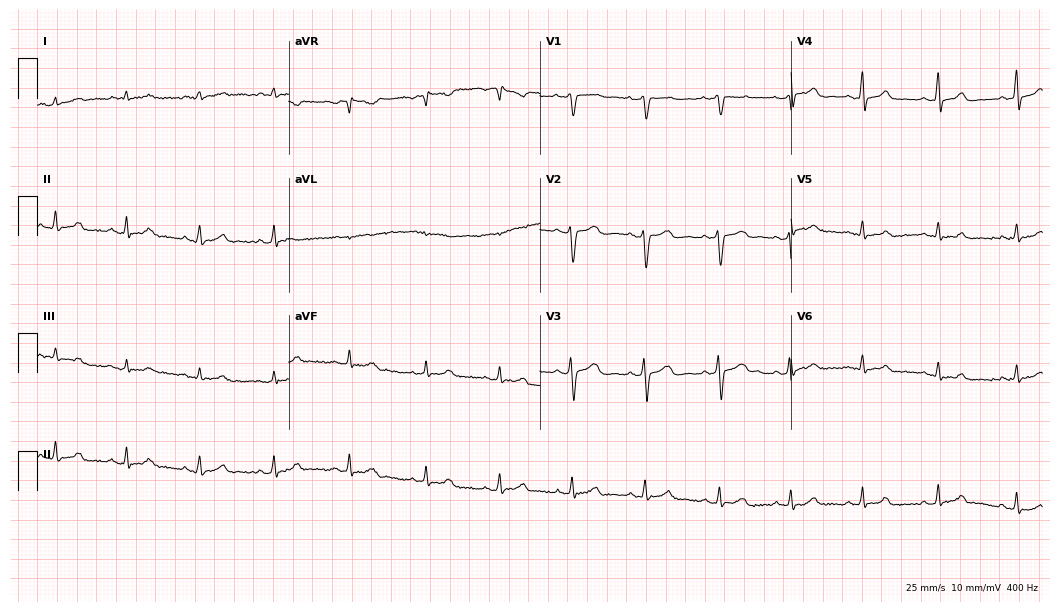
Electrocardiogram, a 22-year-old female patient. Of the six screened findings (first-degree AV block, right bundle branch block (RBBB), left bundle branch block (LBBB), sinus bradycardia, atrial fibrillation (AF), sinus tachycardia), none is recorded. Findings outside these six are not listed.